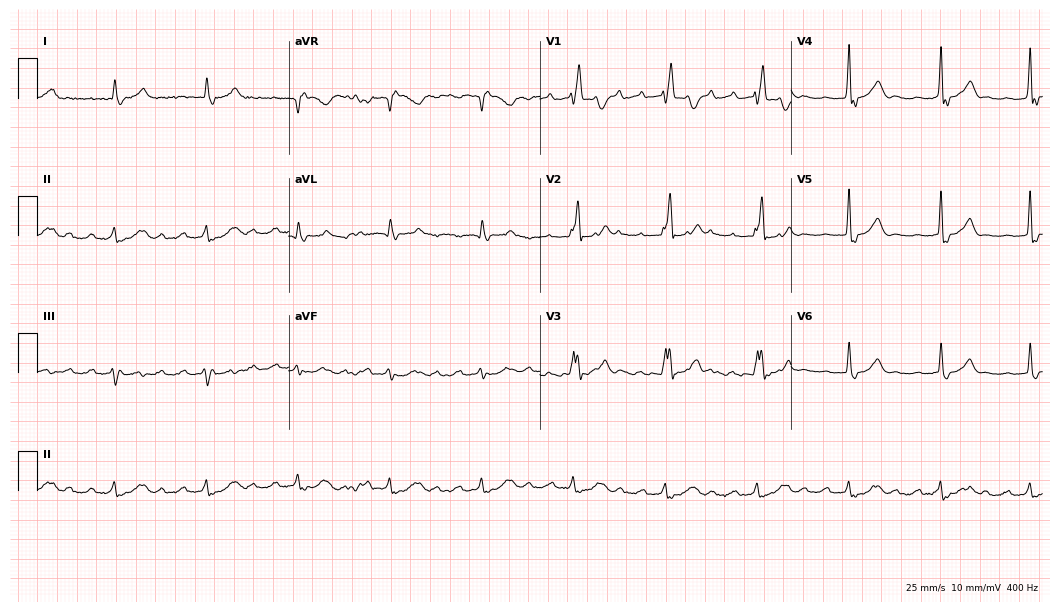
Resting 12-lead electrocardiogram (10.2-second recording at 400 Hz). Patient: an 85-year-old male. The tracing shows first-degree AV block, right bundle branch block.